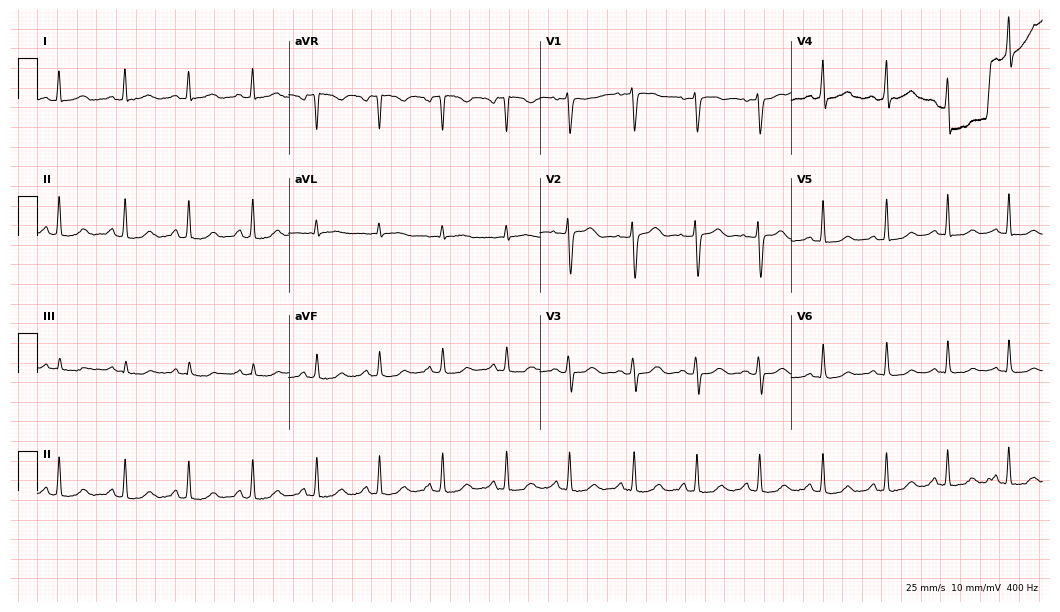
Electrocardiogram, a female, 43 years old. Overall reading on record: normal ECG.